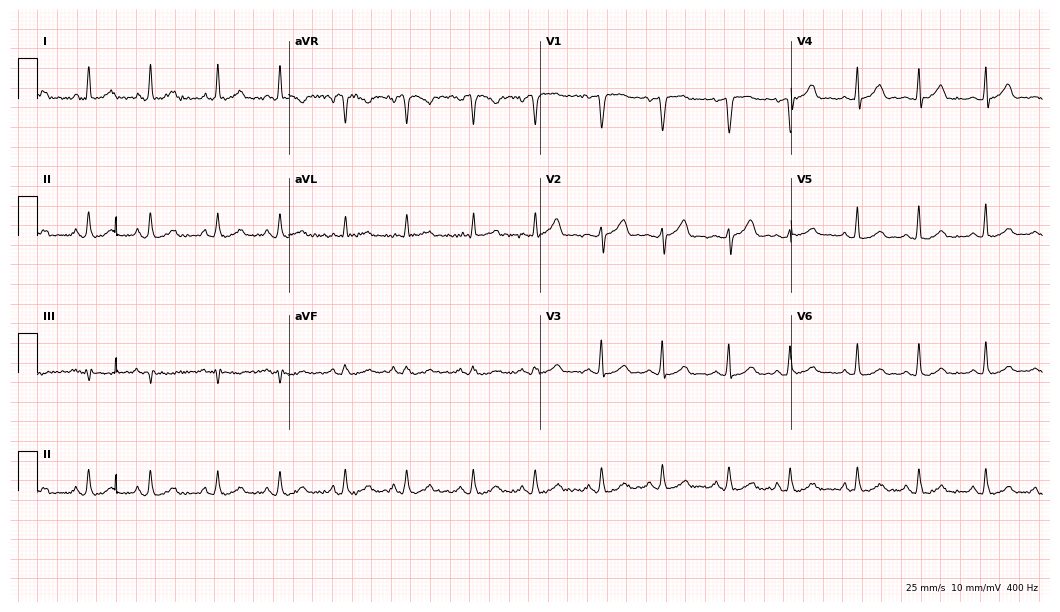
Standard 12-lead ECG recorded from a 62-year-old female patient. Read as a normal ECG.